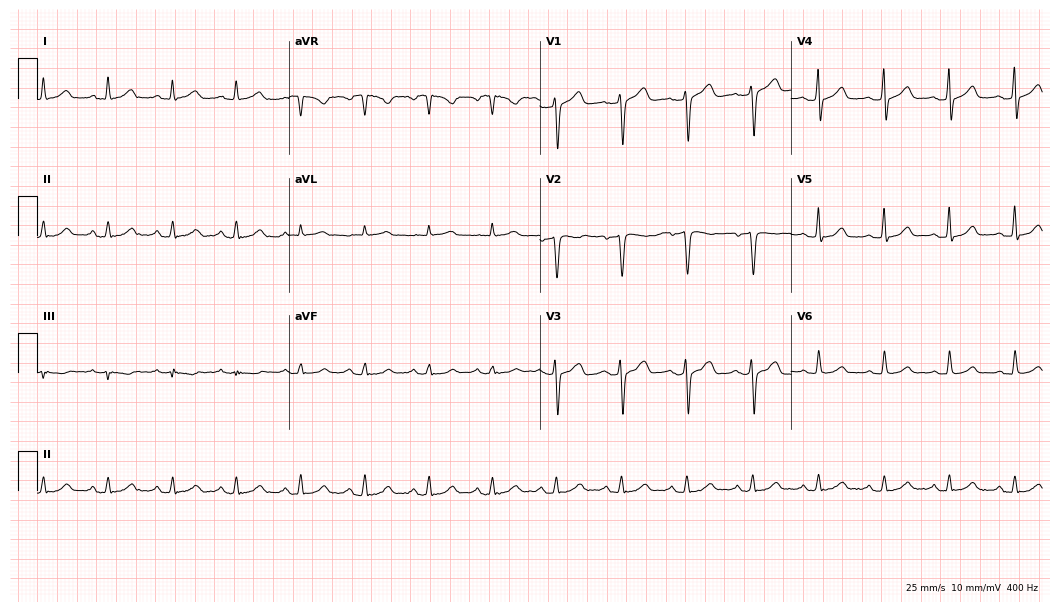
Electrocardiogram, a female patient, 50 years old. Overall reading on record: normal ECG.